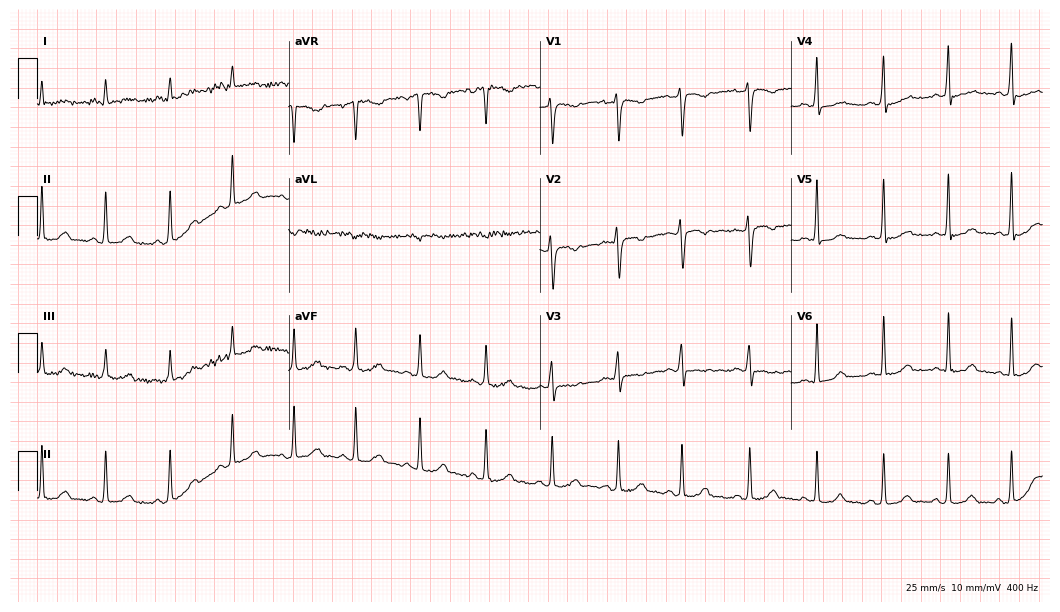
12-lead ECG from a female, 30 years old (10.2-second recording at 400 Hz). No first-degree AV block, right bundle branch block, left bundle branch block, sinus bradycardia, atrial fibrillation or sinus tachycardia recorded for this tracing. Only these six findings were labelled.